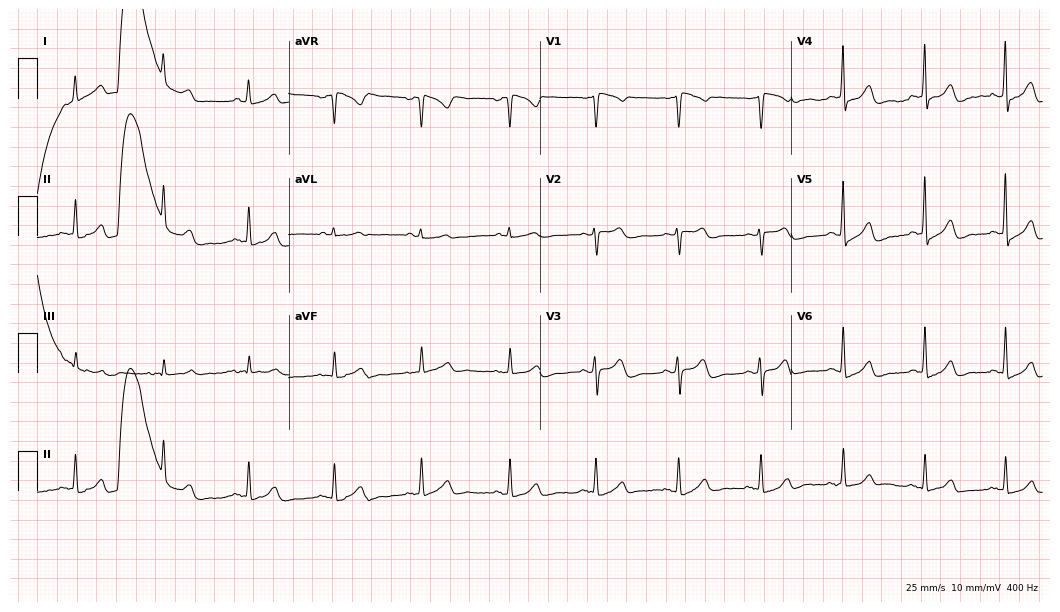
ECG — a 70-year-old female patient. Labelled as a normal ECG.